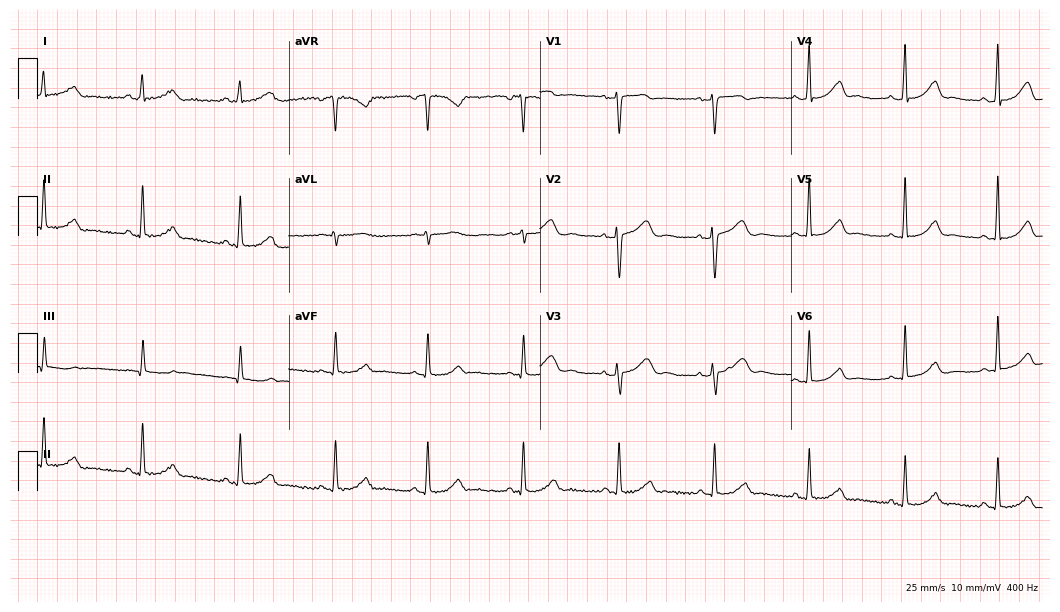
12-lead ECG from a woman, 51 years old (10.2-second recording at 400 Hz). No first-degree AV block, right bundle branch block (RBBB), left bundle branch block (LBBB), sinus bradycardia, atrial fibrillation (AF) or sinus tachycardia recorded for this tracing.